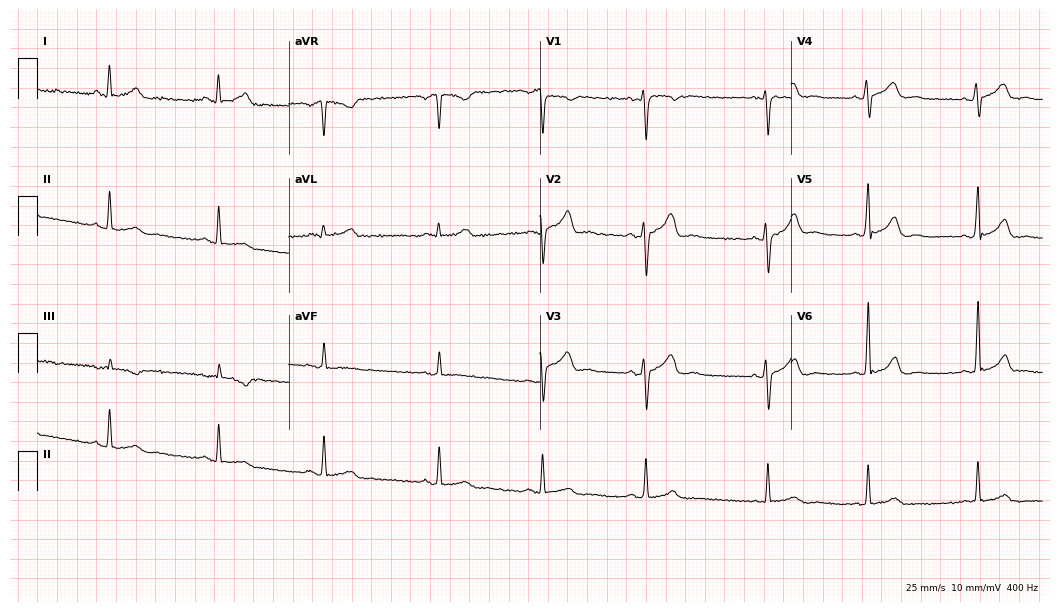
Resting 12-lead electrocardiogram (10.2-second recording at 400 Hz). Patient: a 24-year-old male. Read as a normal ECG.